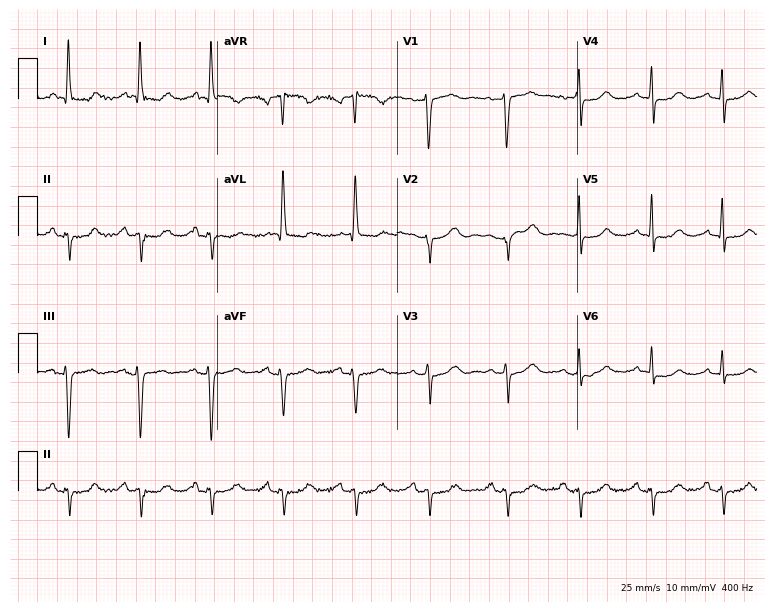
Electrocardiogram (7.3-second recording at 400 Hz), an 82-year-old female patient. Of the six screened findings (first-degree AV block, right bundle branch block, left bundle branch block, sinus bradycardia, atrial fibrillation, sinus tachycardia), none is recorded. Findings outside these six are not listed.